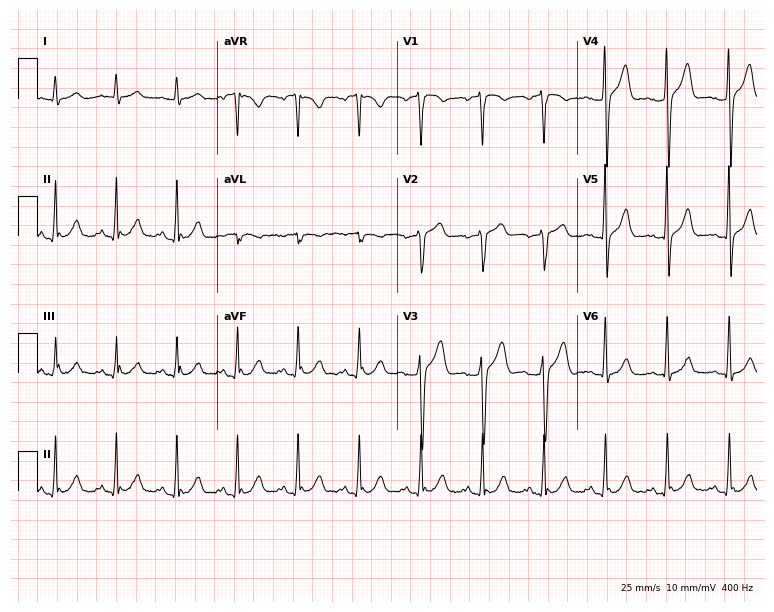
Resting 12-lead electrocardiogram (7.3-second recording at 400 Hz). Patient: a 48-year-old male. Read as a normal ECG.